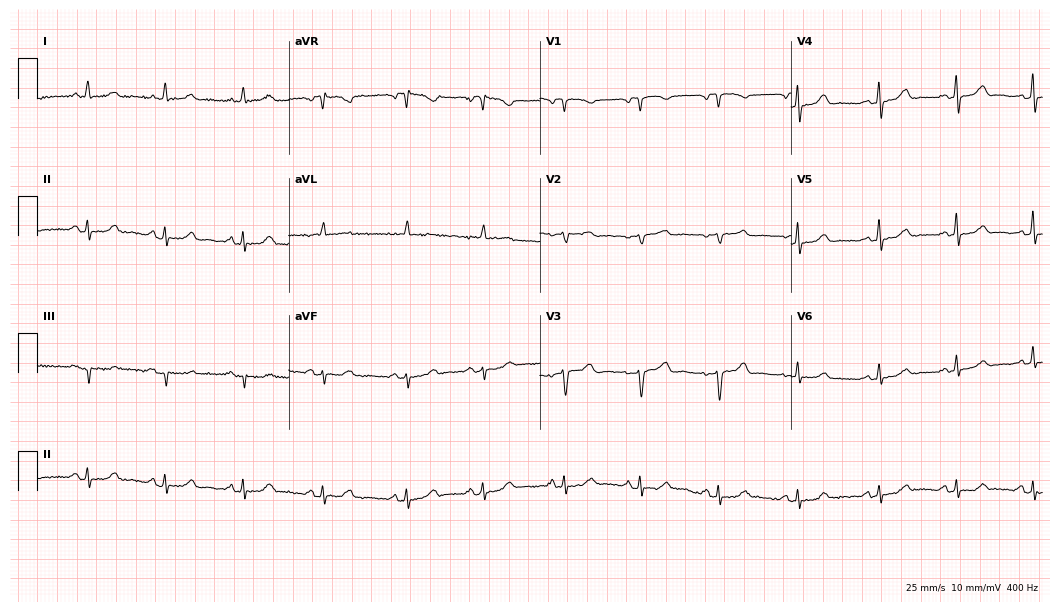
12-lead ECG (10.2-second recording at 400 Hz) from a 64-year-old woman. Screened for six findings — first-degree AV block, right bundle branch block (RBBB), left bundle branch block (LBBB), sinus bradycardia, atrial fibrillation (AF), sinus tachycardia — none is recorded.